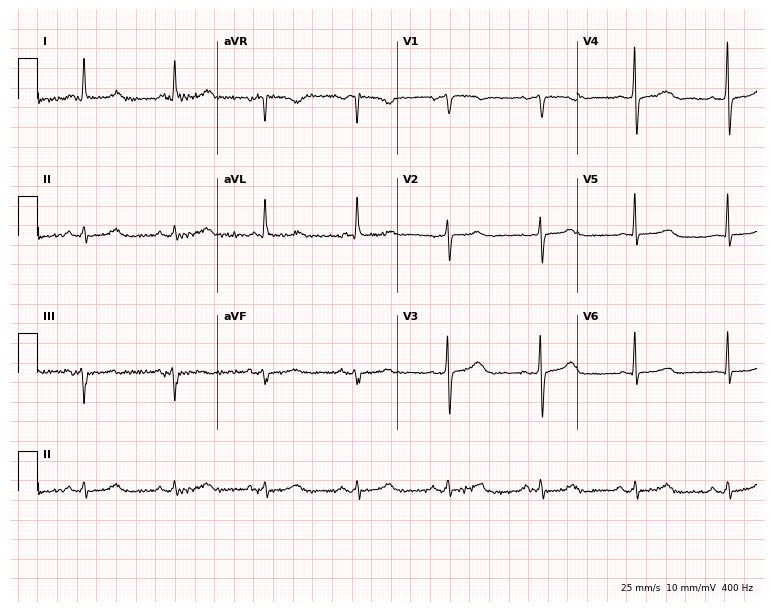
Standard 12-lead ECG recorded from a female, 83 years old. Read as a normal ECG.